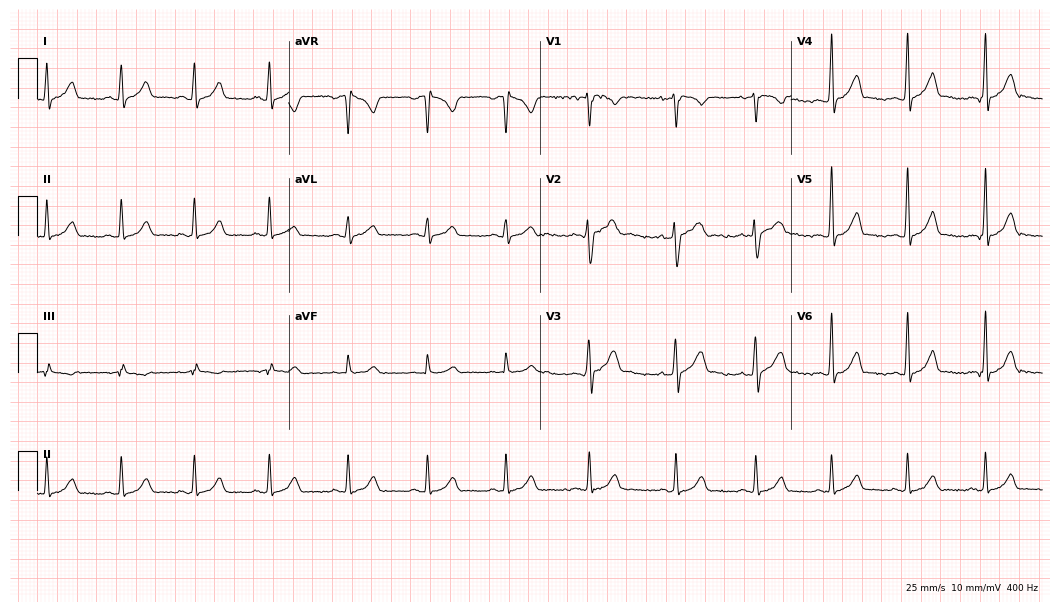
Resting 12-lead electrocardiogram (10.2-second recording at 400 Hz). Patient: a 24-year-old female. Read as a normal ECG.